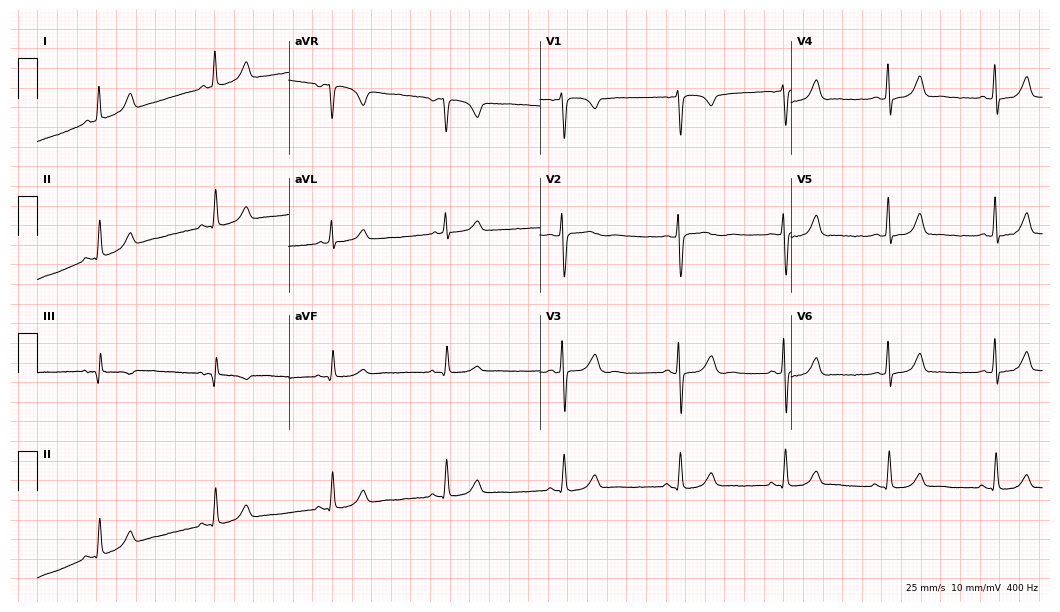
12-lead ECG from a woman, 41 years old. Recorded interpretation: within normal limits.